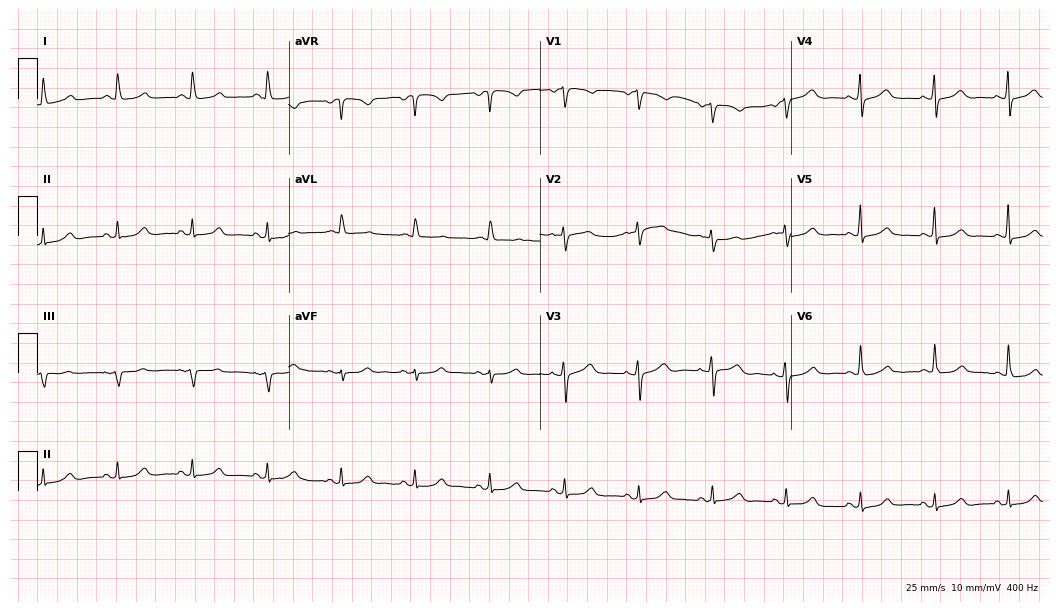
Resting 12-lead electrocardiogram. Patient: a female, 68 years old. Read as a normal ECG.